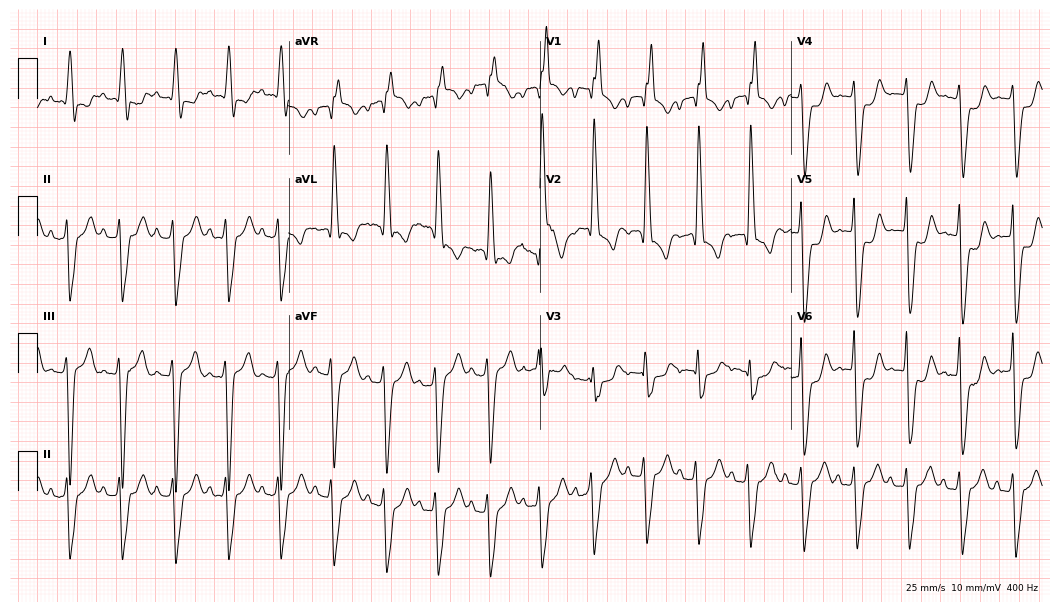
12-lead ECG from a 64-year-old male. Shows right bundle branch block (RBBB), sinus tachycardia (a sinus rate of 100 beats per minute or more).